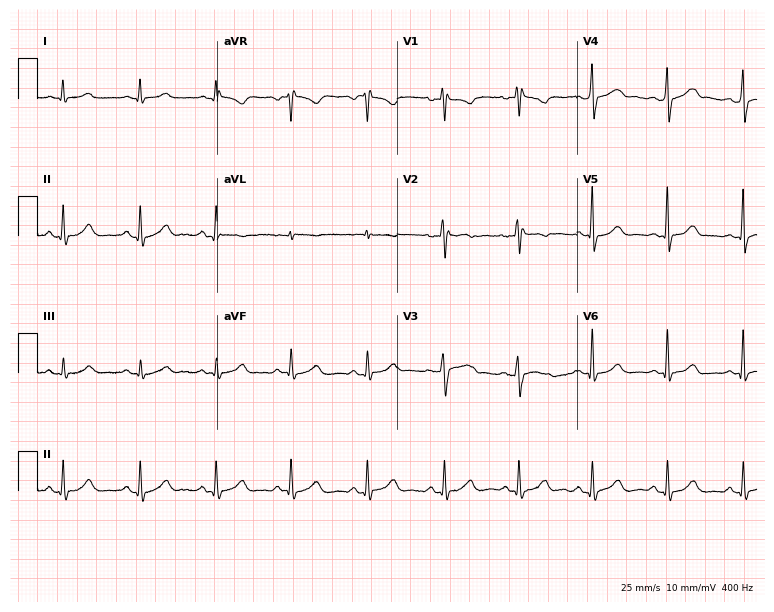
12-lead ECG from a 40-year-old female. Screened for six findings — first-degree AV block, right bundle branch block, left bundle branch block, sinus bradycardia, atrial fibrillation, sinus tachycardia — none is recorded. Other findings, if any, are not listed.